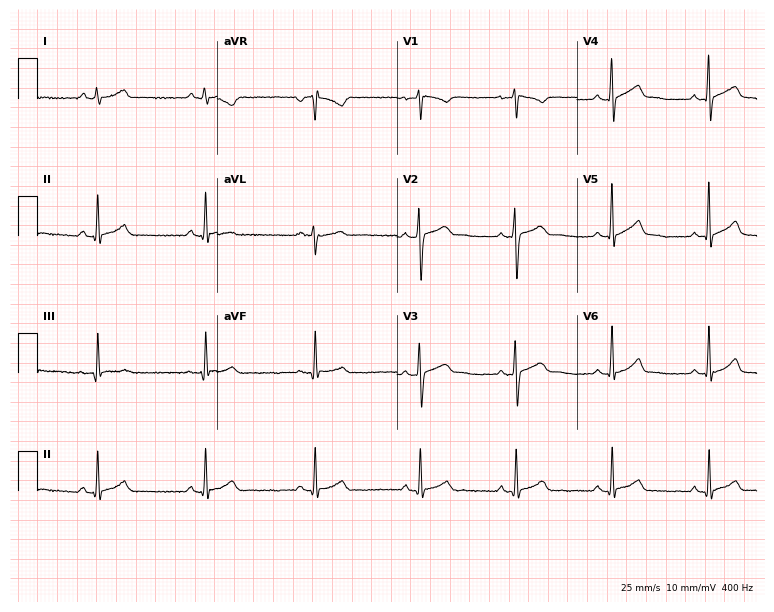
ECG — a 19-year-old male patient. Labelled as a normal ECG.